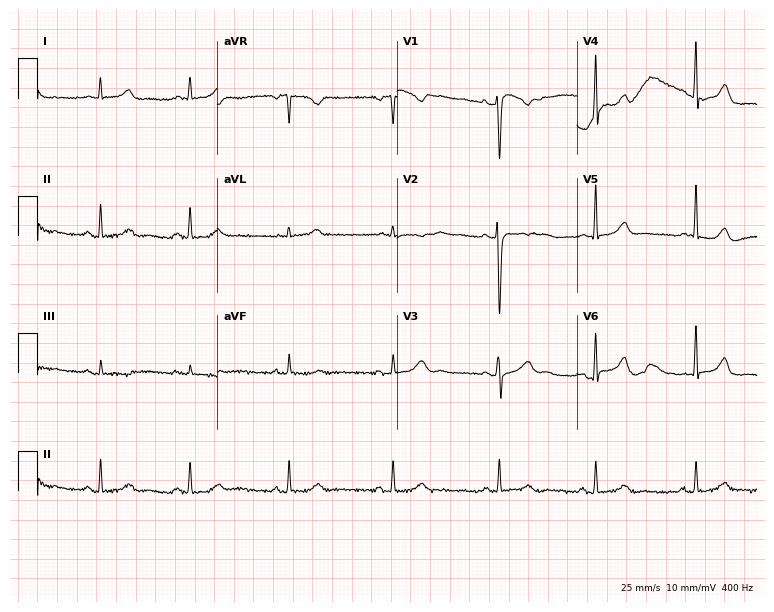
Resting 12-lead electrocardiogram. Patient: a woman, 31 years old. None of these six findings is recorded: first-degree AV block, right bundle branch block, left bundle branch block, sinus bradycardia, atrial fibrillation, sinus tachycardia. Findings outside these six are not listed.